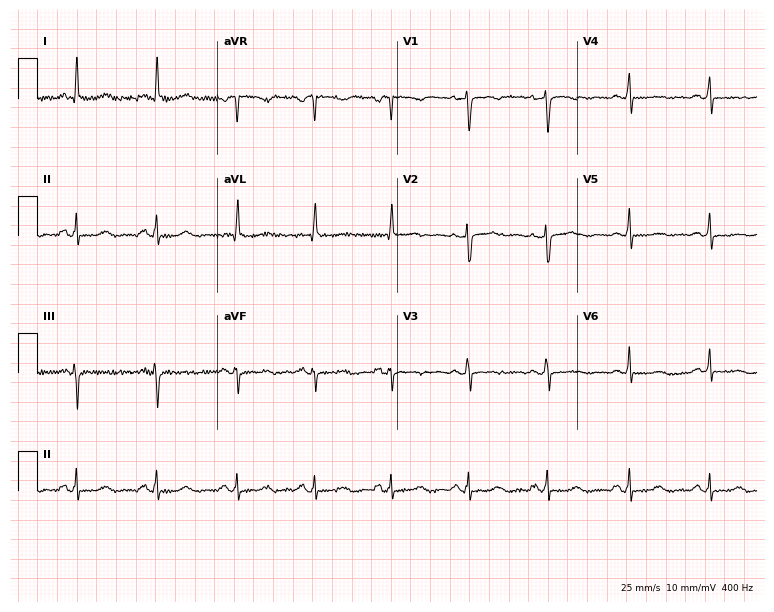
Electrocardiogram, a woman, 49 years old. Of the six screened findings (first-degree AV block, right bundle branch block (RBBB), left bundle branch block (LBBB), sinus bradycardia, atrial fibrillation (AF), sinus tachycardia), none is recorded. Findings outside these six are not listed.